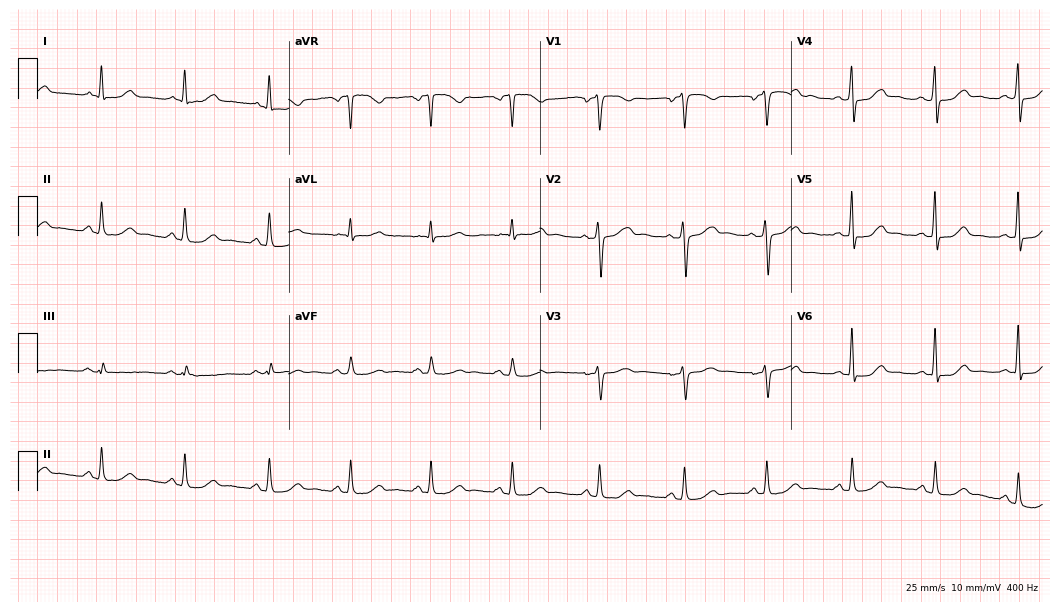
Electrocardiogram, a female patient, 42 years old. Of the six screened findings (first-degree AV block, right bundle branch block (RBBB), left bundle branch block (LBBB), sinus bradycardia, atrial fibrillation (AF), sinus tachycardia), none is recorded. Only these six findings were labelled.